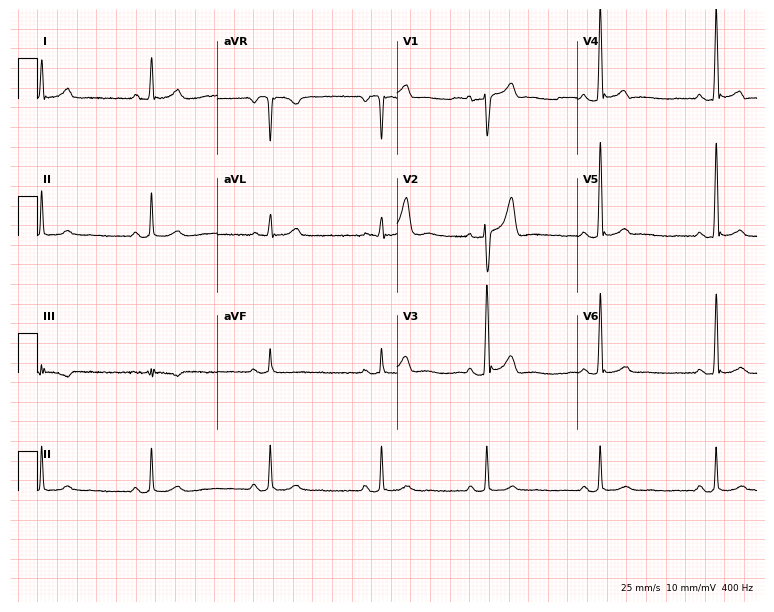
ECG — a male patient, 56 years old. Screened for six findings — first-degree AV block, right bundle branch block (RBBB), left bundle branch block (LBBB), sinus bradycardia, atrial fibrillation (AF), sinus tachycardia — none is recorded.